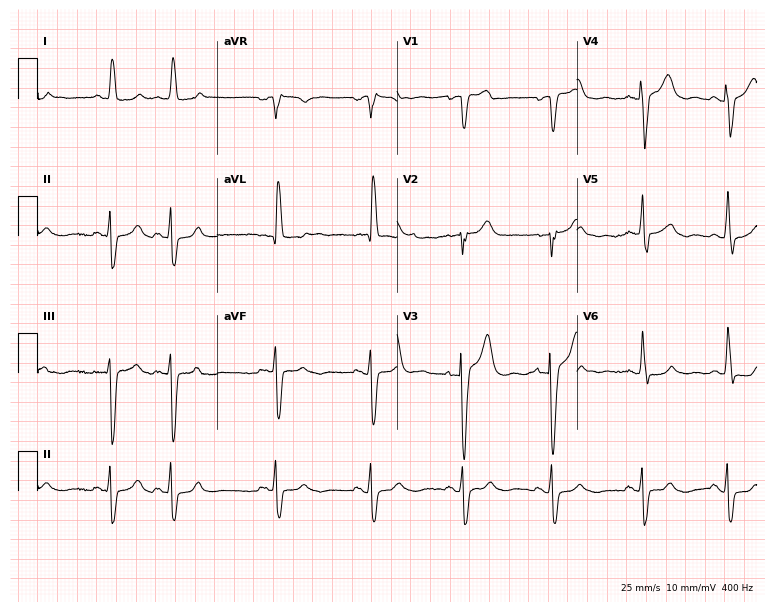
ECG (7.3-second recording at 400 Hz) — a 68-year-old woman. Screened for six findings — first-degree AV block, right bundle branch block (RBBB), left bundle branch block (LBBB), sinus bradycardia, atrial fibrillation (AF), sinus tachycardia — none is recorded. Other findings, if any, are not listed.